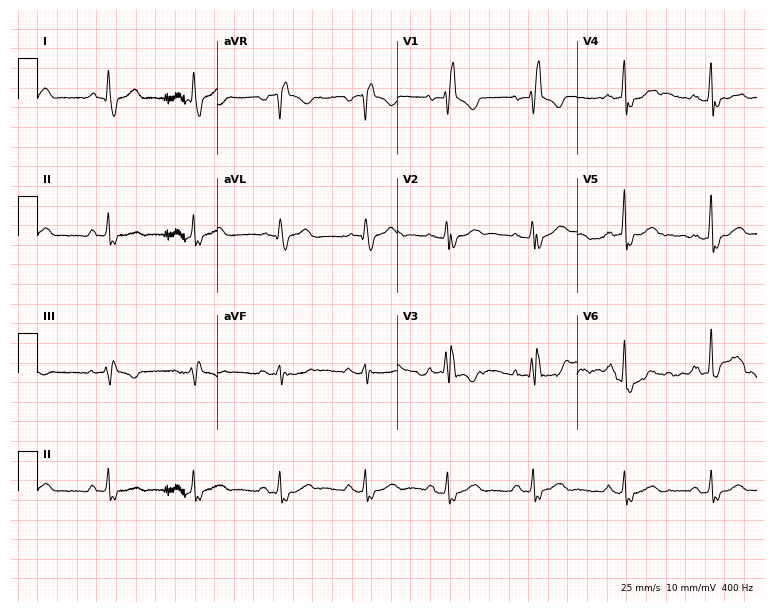
Resting 12-lead electrocardiogram. Patient: a man, 82 years old. None of these six findings is recorded: first-degree AV block, right bundle branch block, left bundle branch block, sinus bradycardia, atrial fibrillation, sinus tachycardia. Only these six findings were labelled.